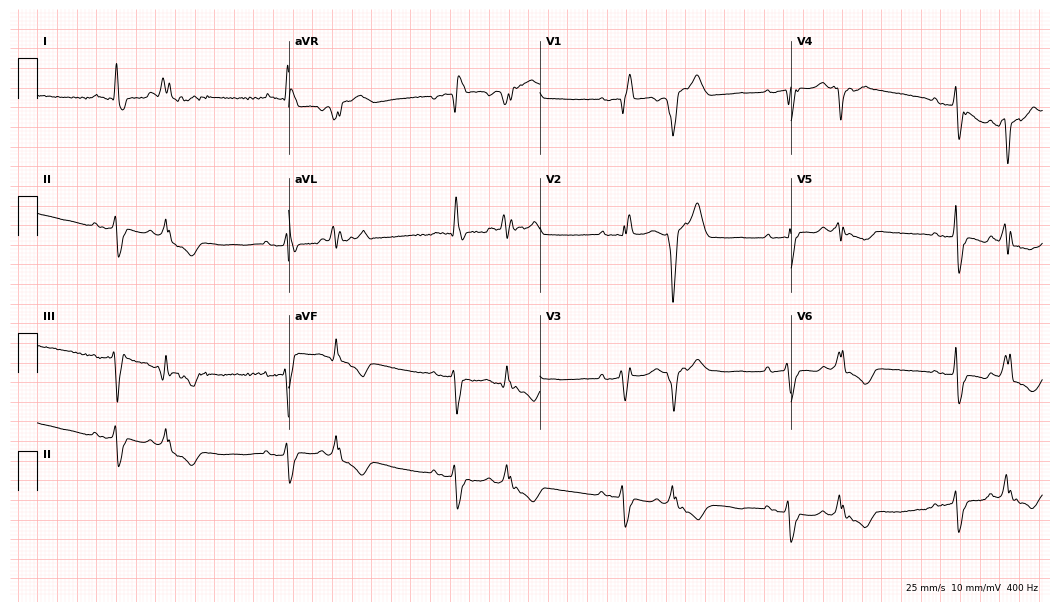
Electrocardiogram, a woman, 65 years old. Of the six screened findings (first-degree AV block, right bundle branch block, left bundle branch block, sinus bradycardia, atrial fibrillation, sinus tachycardia), none is recorded.